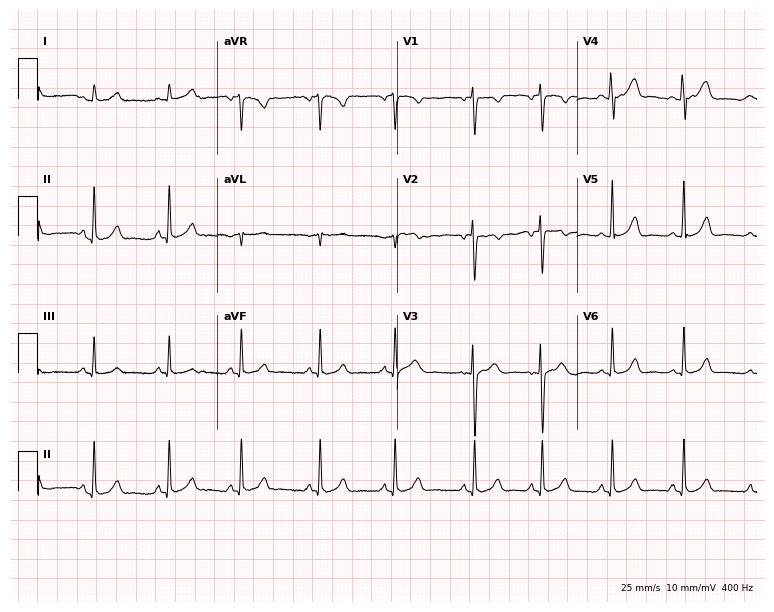
12-lead ECG from a 20-year-old female patient. Screened for six findings — first-degree AV block, right bundle branch block, left bundle branch block, sinus bradycardia, atrial fibrillation, sinus tachycardia — none is recorded. Other findings, if any, are not listed.